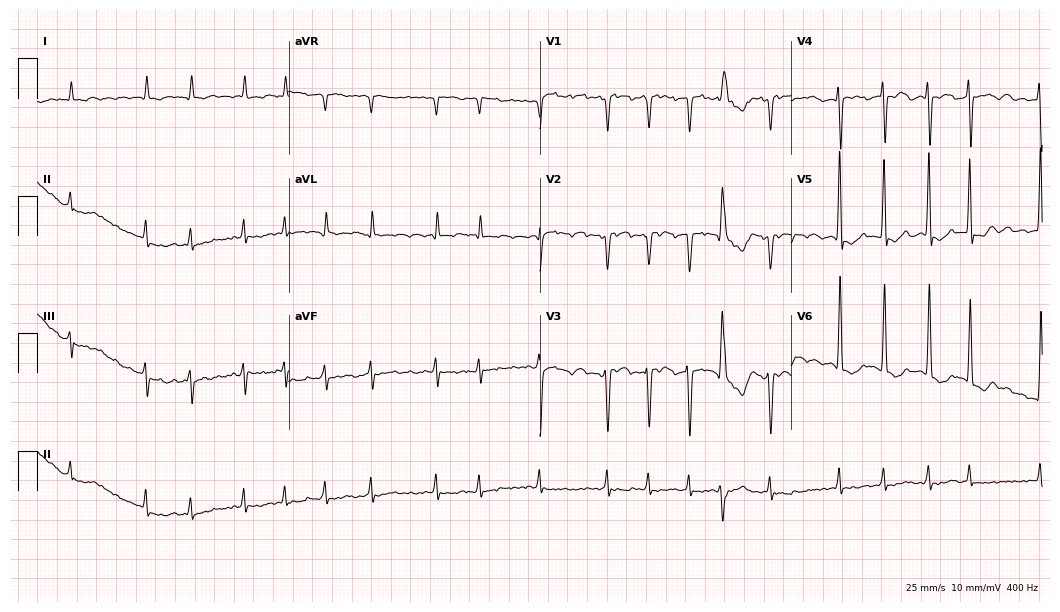
12-lead ECG from a male, 80 years old. Screened for six findings — first-degree AV block, right bundle branch block (RBBB), left bundle branch block (LBBB), sinus bradycardia, atrial fibrillation (AF), sinus tachycardia — none is recorded. Other findings, if any, are not listed.